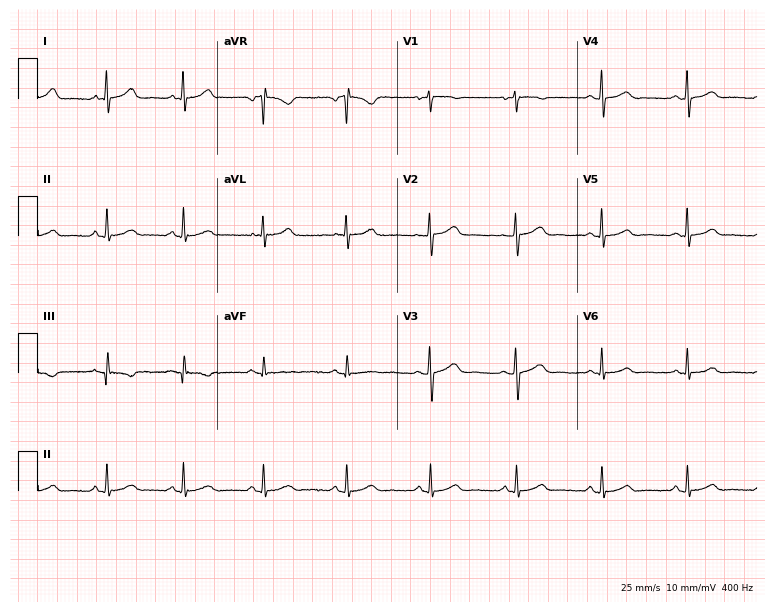
Standard 12-lead ECG recorded from a 47-year-old female patient (7.3-second recording at 400 Hz). Read as a normal ECG.